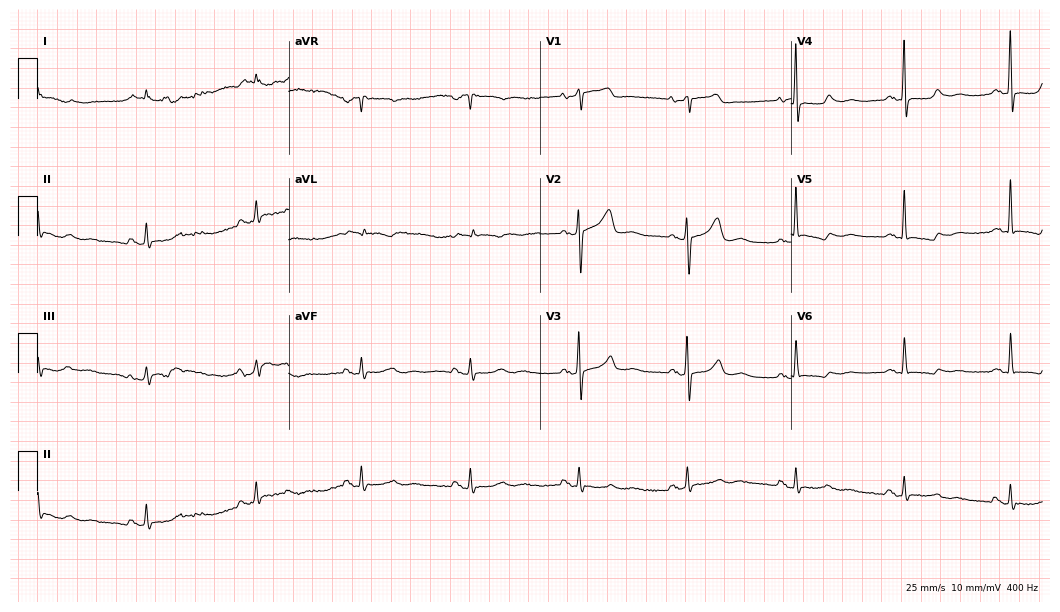
Resting 12-lead electrocardiogram (10.2-second recording at 400 Hz). Patient: an 82-year-old female. None of these six findings is recorded: first-degree AV block, right bundle branch block, left bundle branch block, sinus bradycardia, atrial fibrillation, sinus tachycardia.